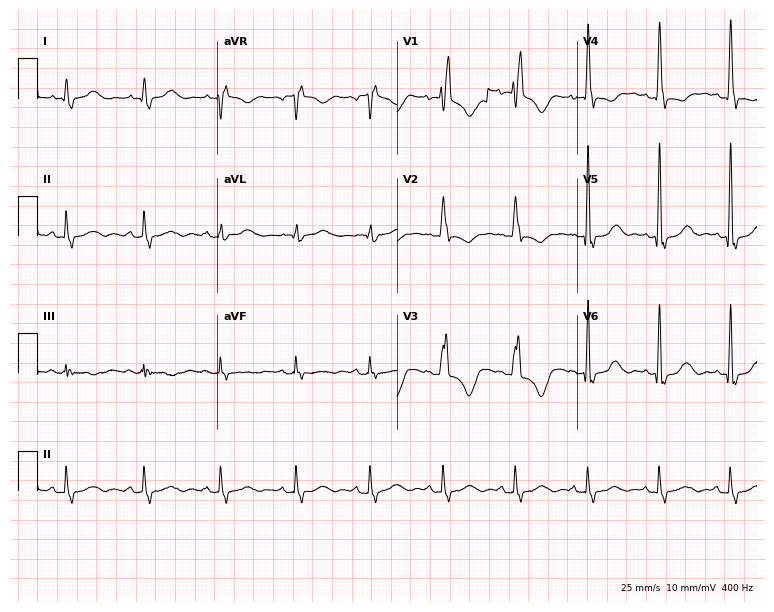
Resting 12-lead electrocardiogram (7.3-second recording at 400 Hz). Patient: a female, 60 years old. The tracing shows right bundle branch block.